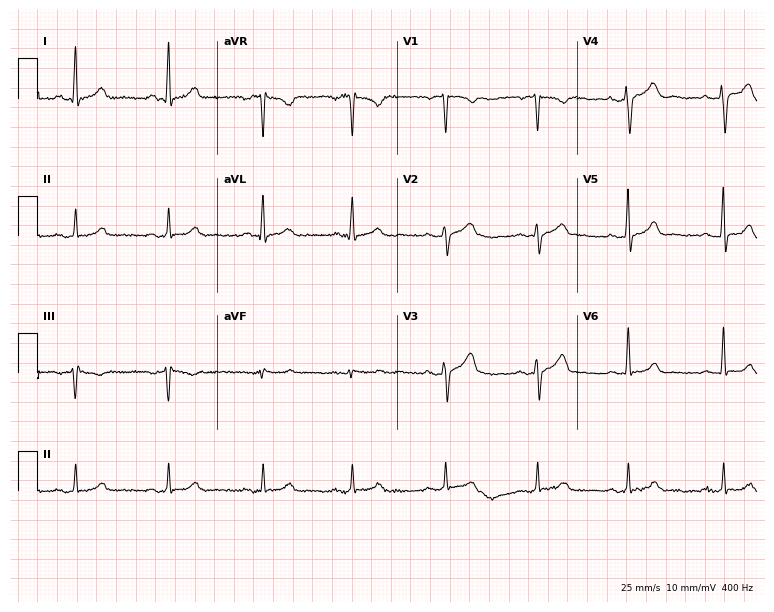
12-lead ECG from a 36-year-old female patient. Recorded interpretation: within normal limits.